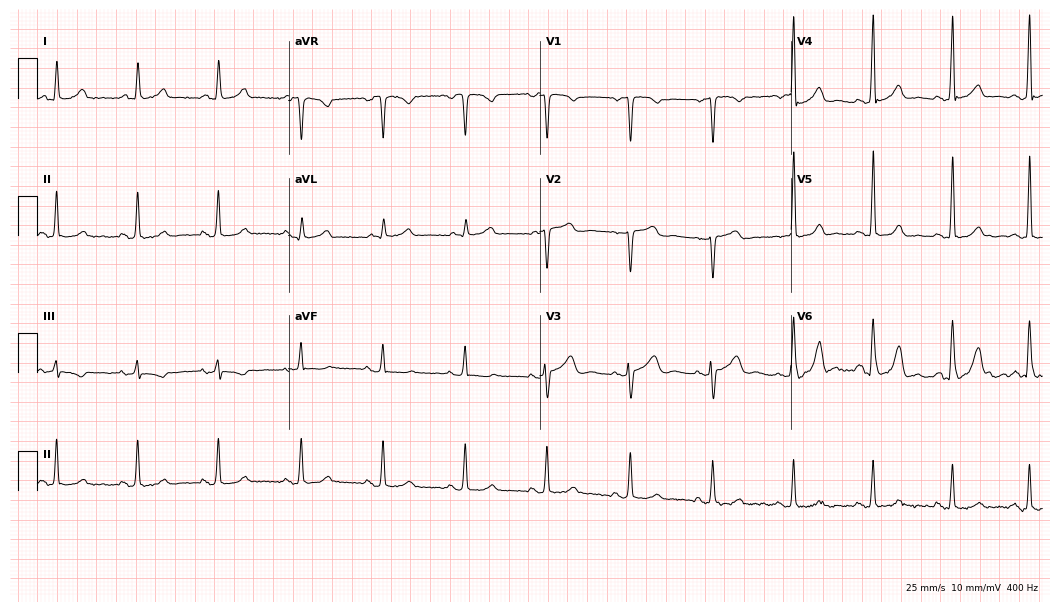
Standard 12-lead ECG recorded from a 59-year-old female patient (10.2-second recording at 400 Hz). Read as a normal ECG.